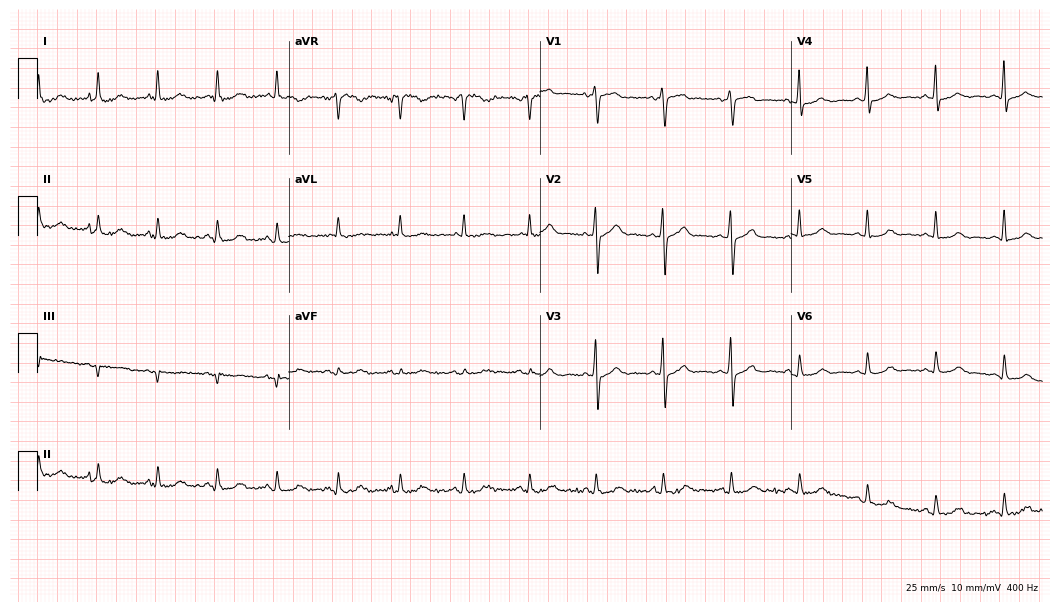
ECG — a female, 52 years old. Screened for six findings — first-degree AV block, right bundle branch block, left bundle branch block, sinus bradycardia, atrial fibrillation, sinus tachycardia — none is recorded. Findings outside these six are not listed.